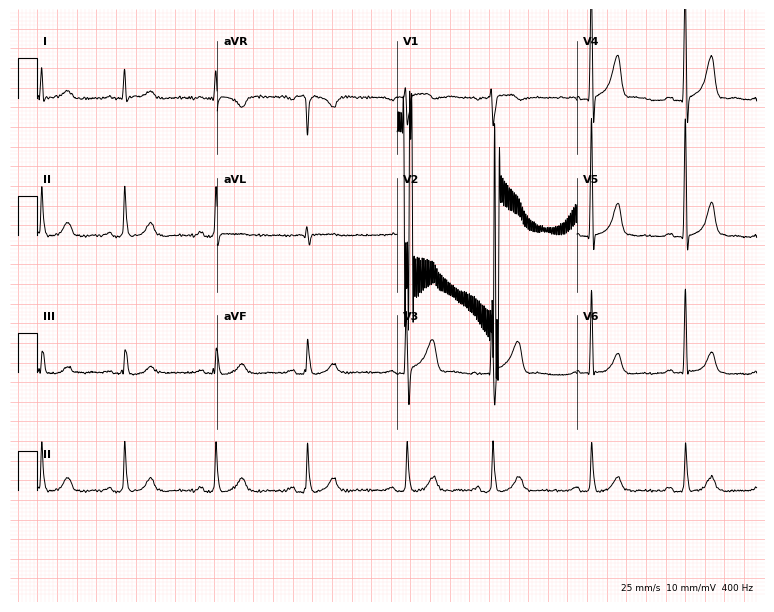
Standard 12-lead ECG recorded from a male, 72 years old (7.3-second recording at 400 Hz). Read as a normal ECG.